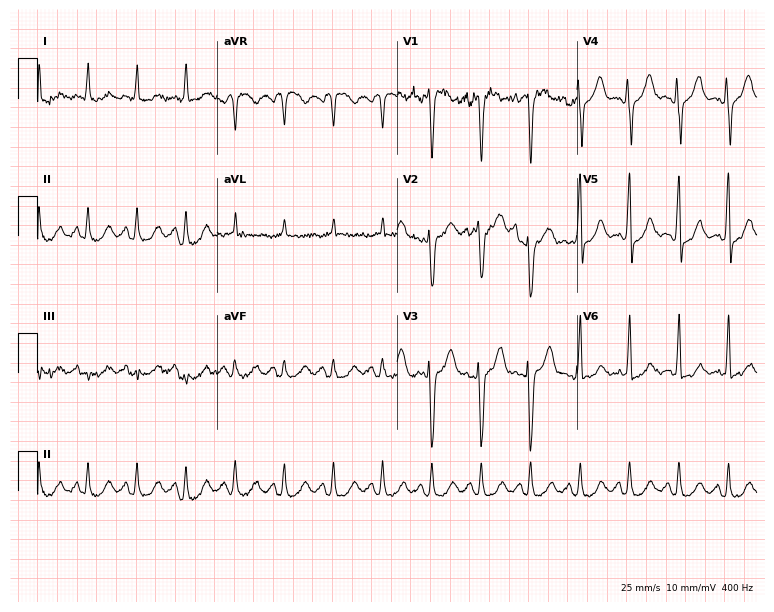
12-lead ECG from a male patient, 64 years old. Shows sinus tachycardia (a sinus rate of 100 beats per minute or more).